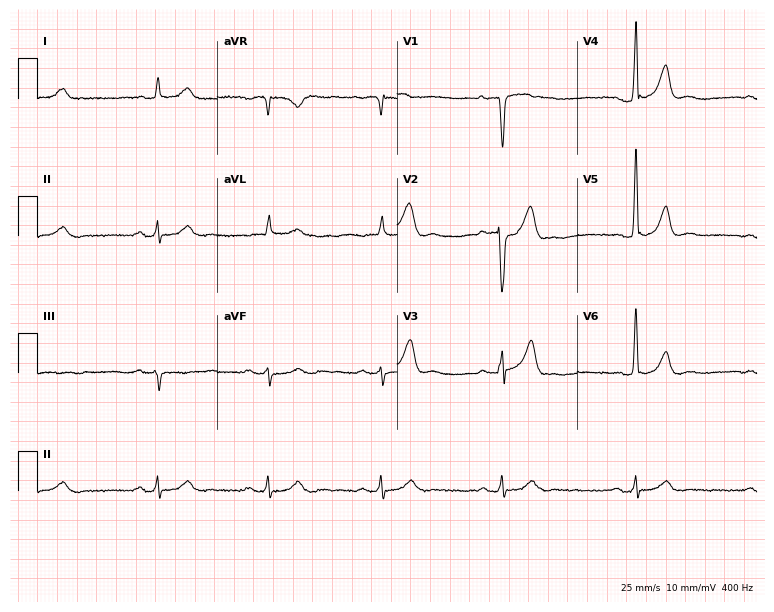
Electrocardiogram (7.3-second recording at 400 Hz), a man, 75 years old. Of the six screened findings (first-degree AV block, right bundle branch block, left bundle branch block, sinus bradycardia, atrial fibrillation, sinus tachycardia), none is recorded.